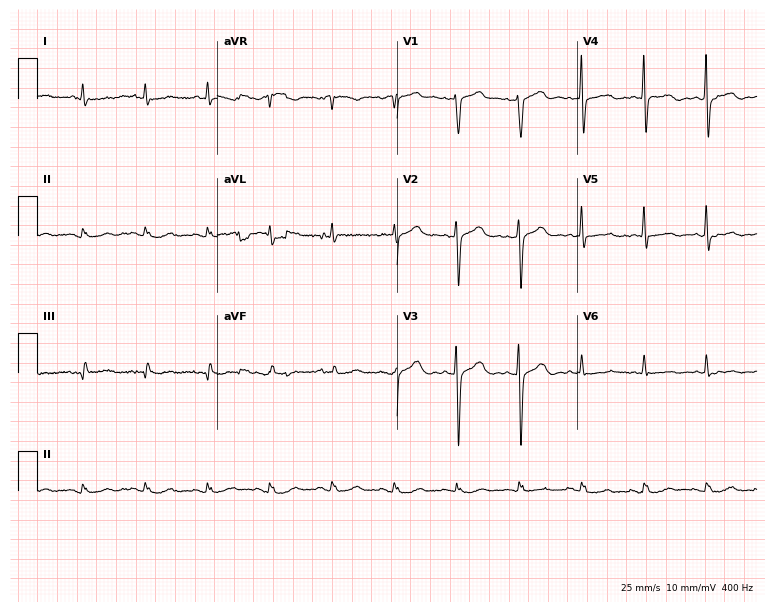
ECG (7.3-second recording at 400 Hz) — a man, 71 years old. Screened for six findings — first-degree AV block, right bundle branch block (RBBB), left bundle branch block (LBBB), sinus bradycardia, atrial fibrillation (AF), sinus tachycardia — none is recorded. Only these six findings were labelled.